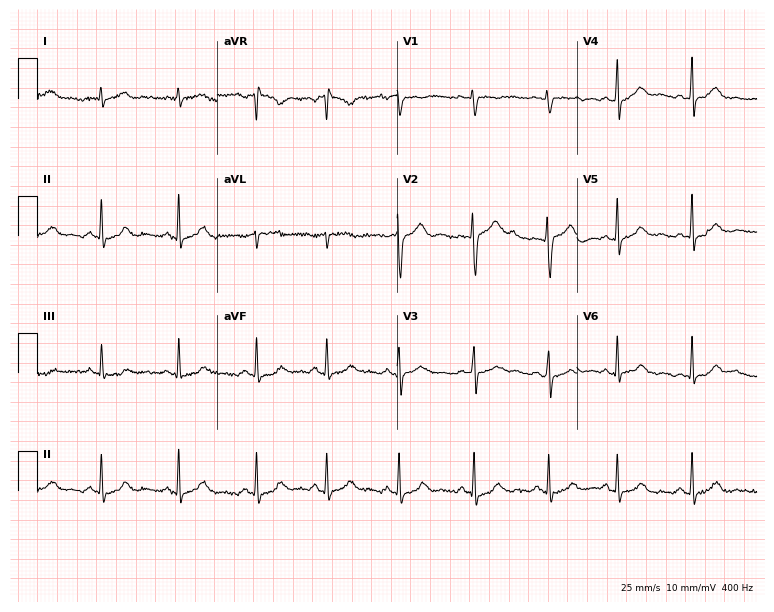
Resting 12-lead electrocardiogram. Patient: a 21-year-old female. Read as a normal ECG.